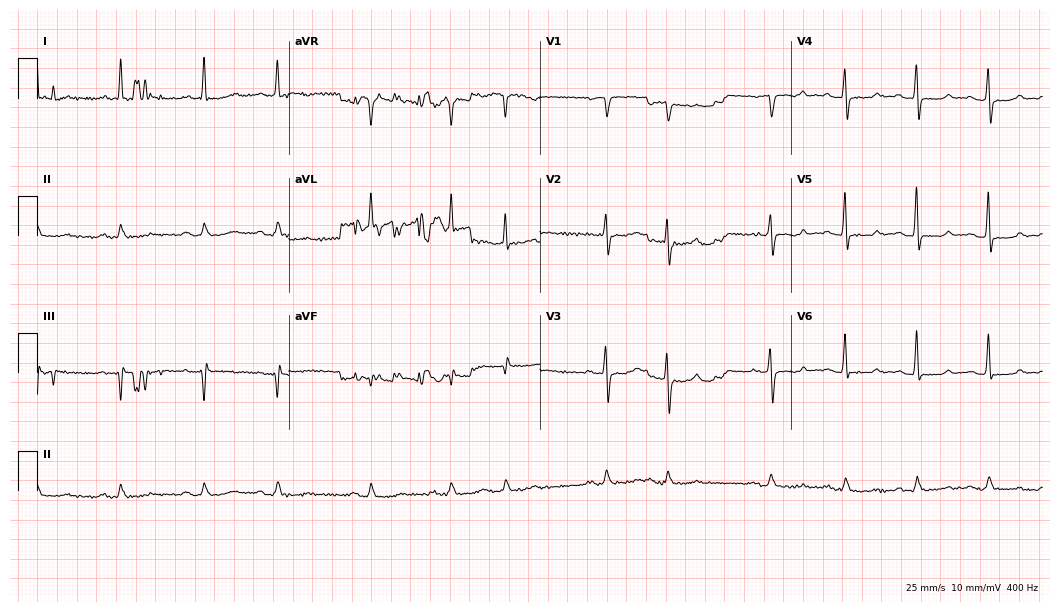
Resting 12-lead electrocardiogram (10.2-second recording at 400 Hz). Patient: an 81-year-old man. None of these six findings is recorded: first-degree AV block, right bundle branch block, left bundle branch block, sinus bradycardia, atrial fibrillation, sinus tachycardia. Other findings, if any, are not listed.